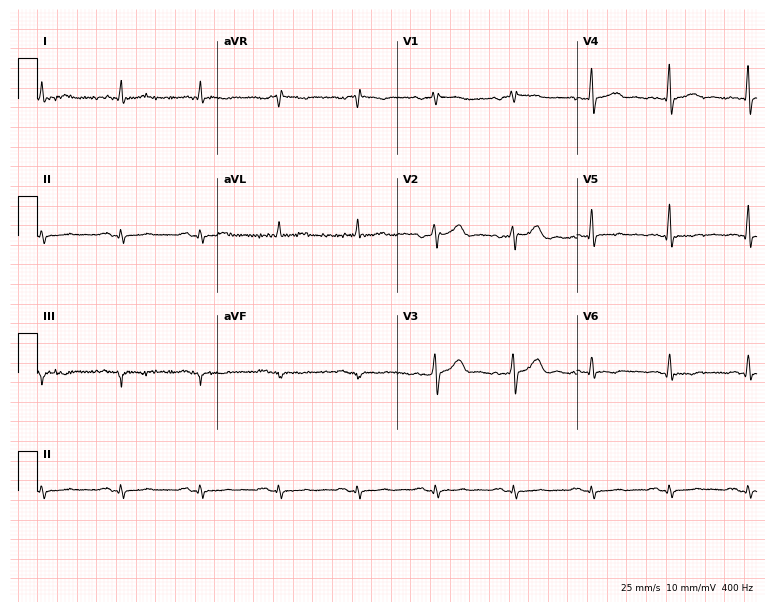
12-lead ECG (7.3-second recording at 400 Hz) from a man, 65 years old. Screened for six findings — first-degree AV block, right bundle branch block (RBBB), left bundle branch block (LBBB), sinus bradycardia, atrial fibrillation (AF), sinus tachycardia — none is recorded.